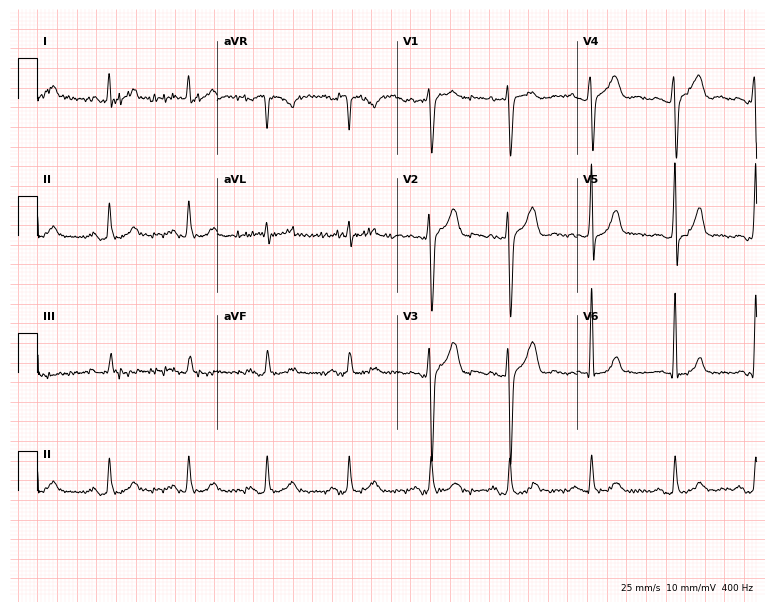
Resting 12-lead electrocardiogram. Patient: a 34-year-old male. None of these six findings is recorded: first-degree AV block, right bundle branch block, left bundle branch block, sinus bradycardia, atrial fibrillation, sinus tachycardia. Only these six findings were labelled.